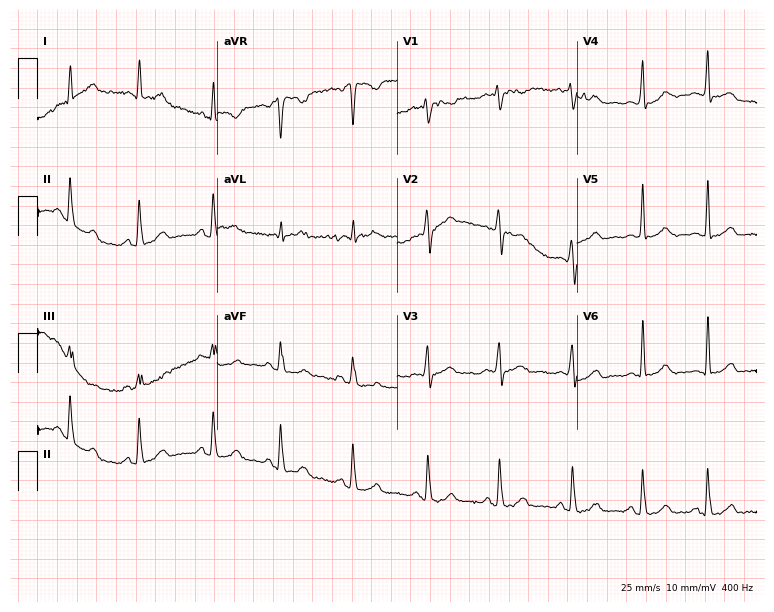
Resting 12-lead electrocardiogram (7.3-second recording at 400 Hz). Patient: a female, 22 years old. None of these six findings is recorded: first-degree AV block, right bundle branch block, left bundle branch block, sinus bradycardia, atrial fibrillation, sinus tachycardia. Only these six findings were labelled.